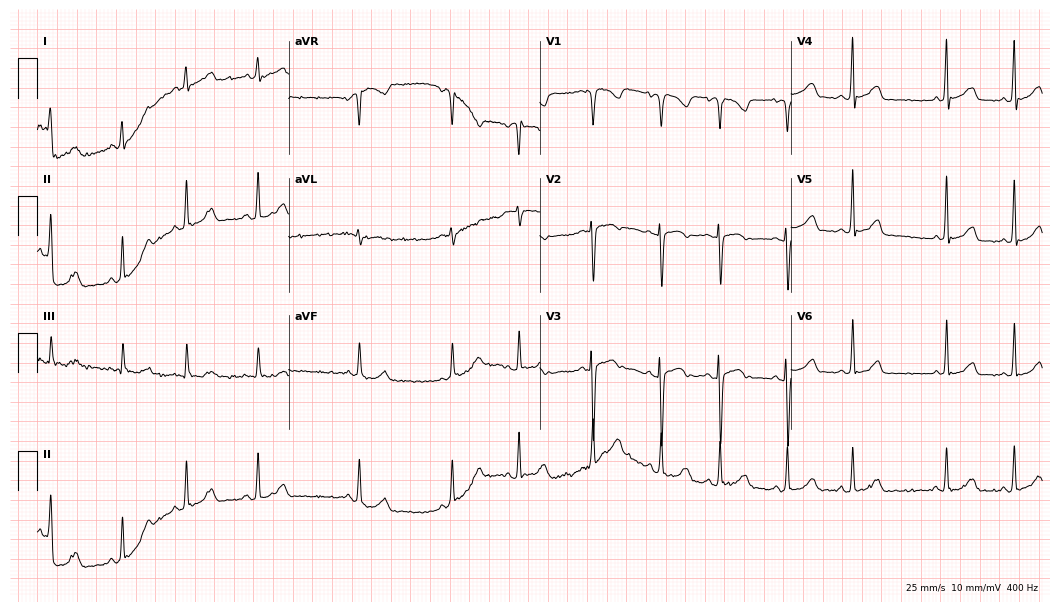
12-lead ECG from a 24-year-old female patient. Recorded interpretation: within normal limits.